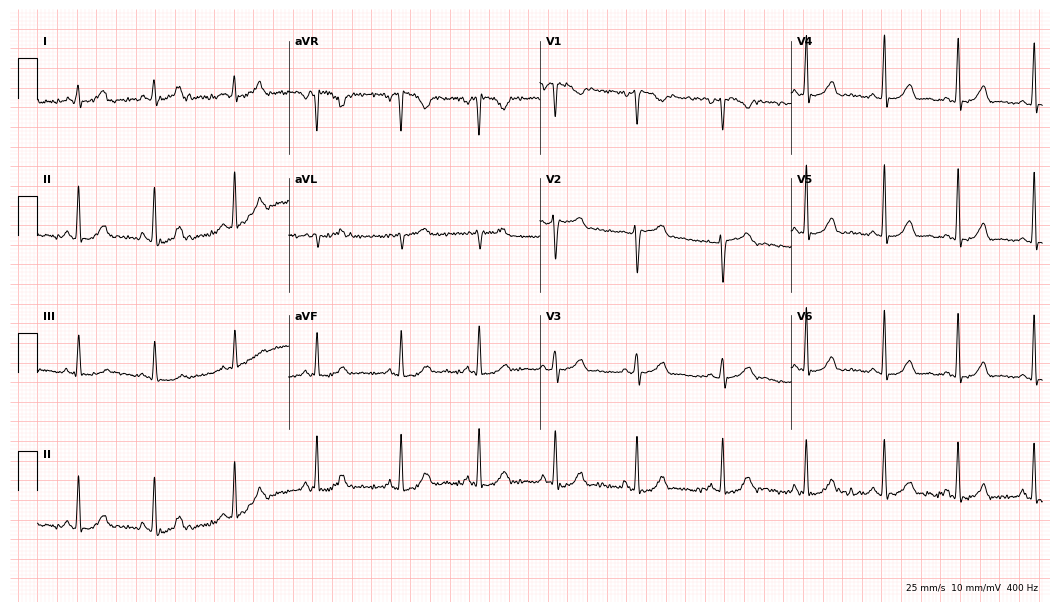
12-lead ECG from a woman, 30 years old. Labelled as a normal ECG.